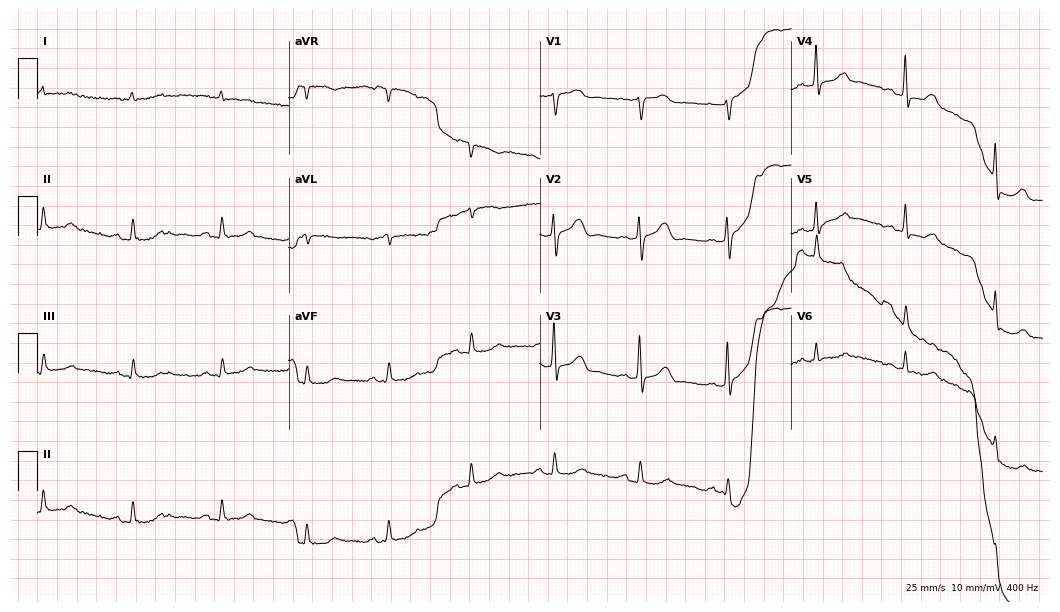
Resting 12-lead electrocardiogram. Patient: a 75-year-old man. Read as a normal ECG.